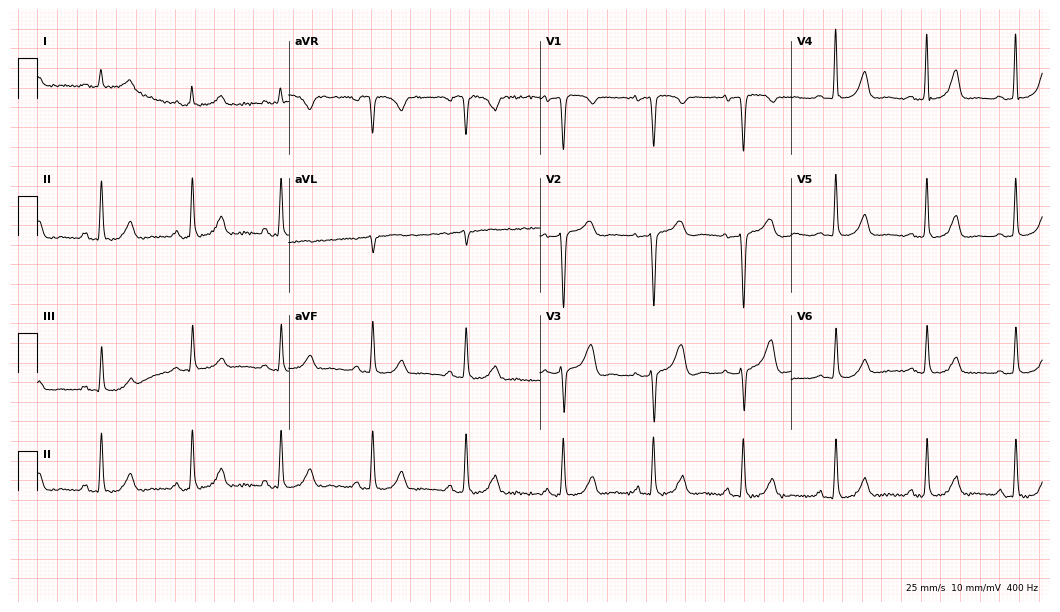
Electrocardiogram (10.2-second recording at 400 Hz), a woman, 25 years old. Overall reading on record: normal ECG.